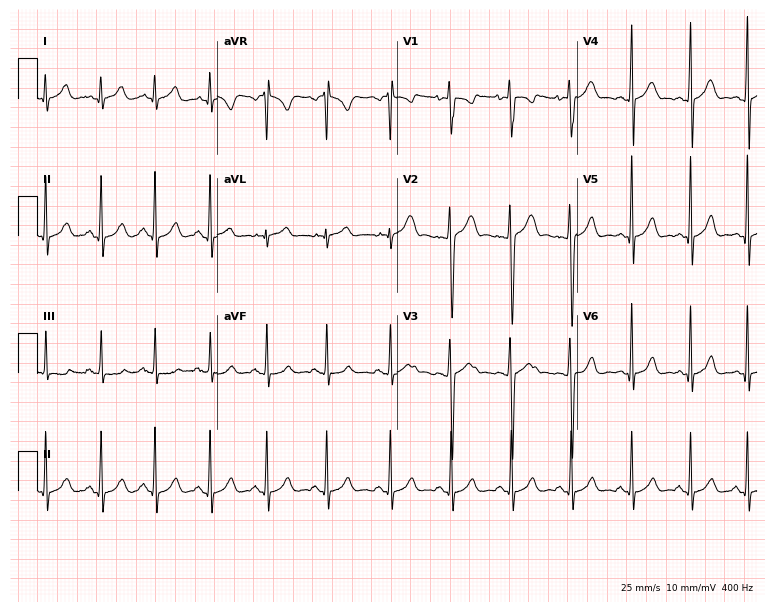
Standard 12-lead ECG recorded from a 23-year-old female patient (7.3-second recording at 400 Hz). None of these six findings is recorded: first-degree AV block, right bundle branch block (RBBB), left bundle branch block (LBBB), sinus bradycardia, atrial fibrillation (AF), sinus tachycardia. Other findings, if any, are not listed.